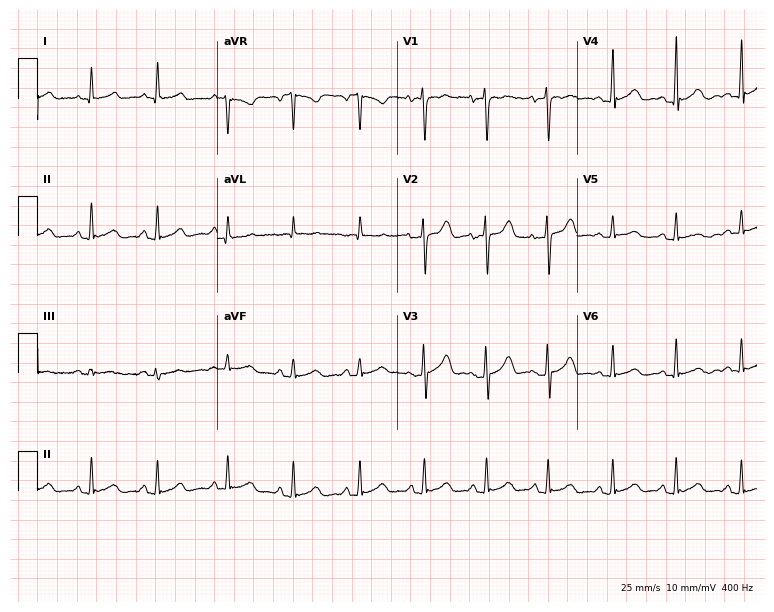
Standard 12-lead ECG recorded from a 31-year-old female patient (7.3-second recording at 400 Hz). None of these six findings is recorded: first-degree AV block, right bundle branch block (RBBB), left bundle branch block (LBBB), sinus bradycardia, atrial fibrillation (AF), sinus tachycardia. Other findings, if any, are not listed.